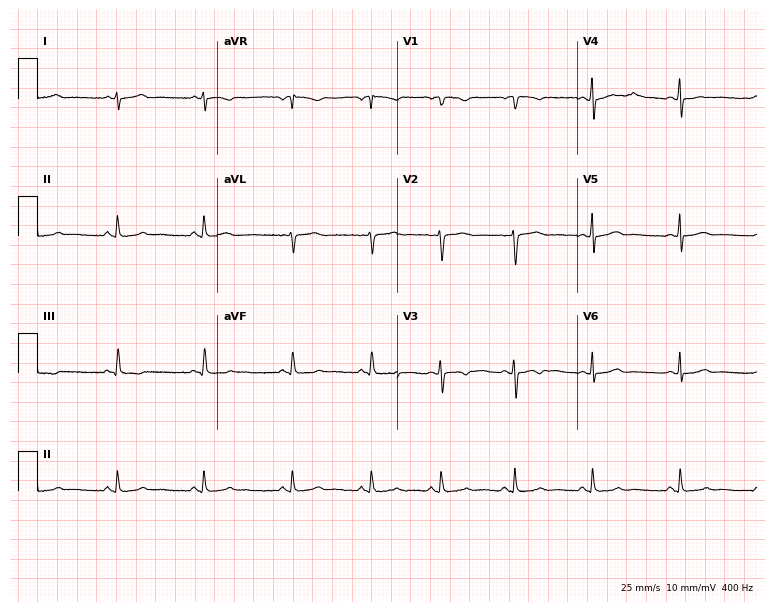
ECG (7.3-second recording at 400 Hz) — a woman, 17 years old. Labelled as a normal ECG.